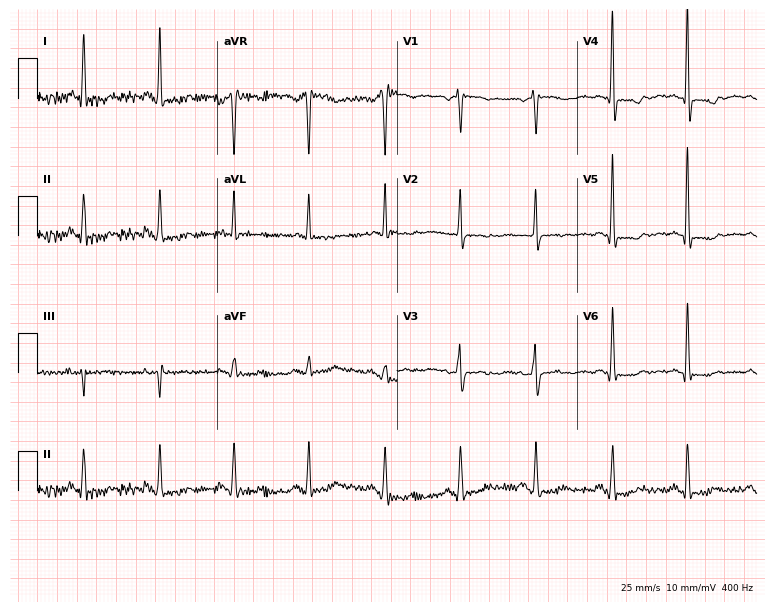
ECG (7.3-second recording at 400 Hz) — a female patient, 71 years old. Screened for six findings — first-degree AV block, right bundle branch block (RBBB), left bundle branch block (LBBB), sinus bradycardia, atrial fibrillation (AF), sinus tachycardia — none is recorded.